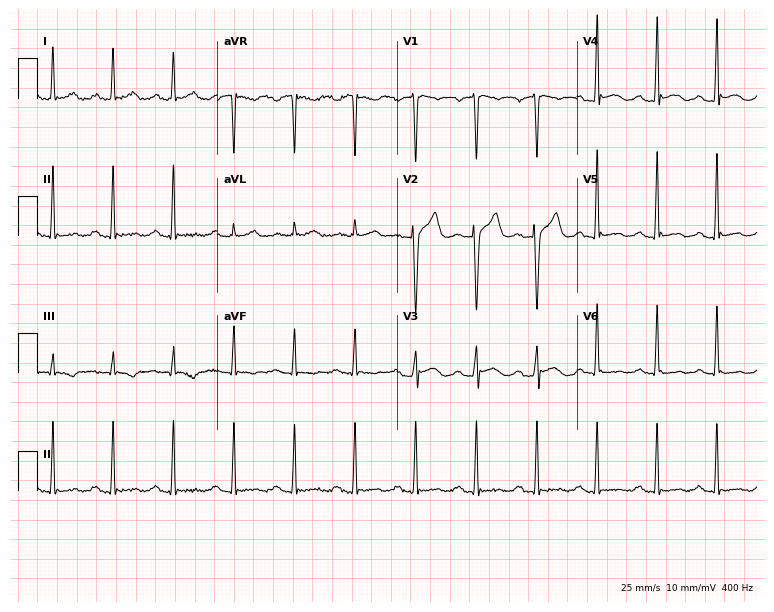
ECG — a man, 28 years old. Screened for six findings — first-degree AV block, right bundle branch block, left bundle branch block, sinus bradycardia, atrial fibrillation, sinus tachycardia — none is recorded.